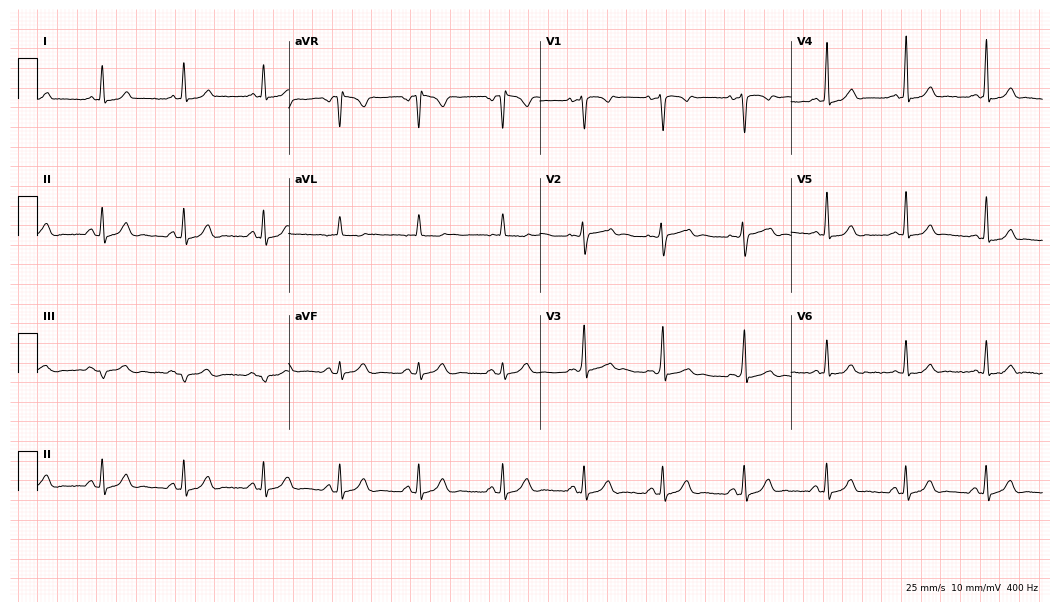
12-lead ECG (10.2-second recording at 400 Hz) from a 21-year-old female patient. Labelled as a normal ECG.